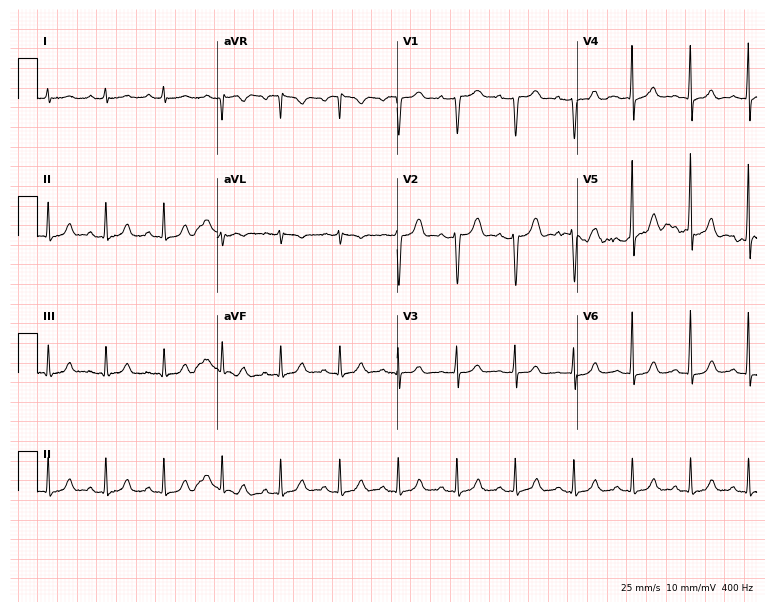
12-lead ECG from a woman, 65 years old (7.3-second recording at 400 Hz). No first-degree AV block, right bundle branch block (RBBB), left bundle branch block (LBBB), sinus bradycardia, atrial fibrillation (AF) or sinus tachycardia recorded for this tracing.